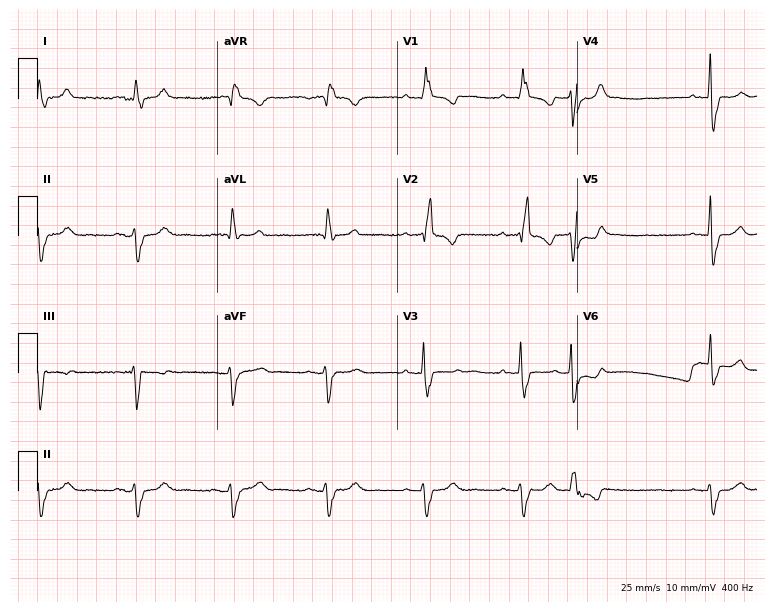
12-lead ECG from a male patient, 83 years old. Shows right bundle branch block.